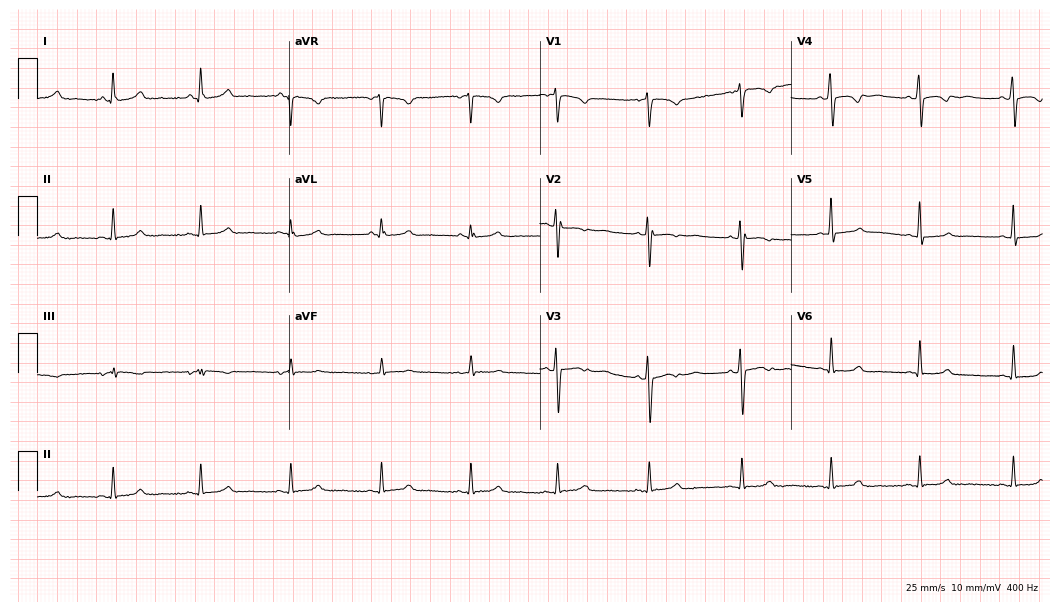
12-lead ECG from a 31-year-old woman. Labelled as a normal ECG.